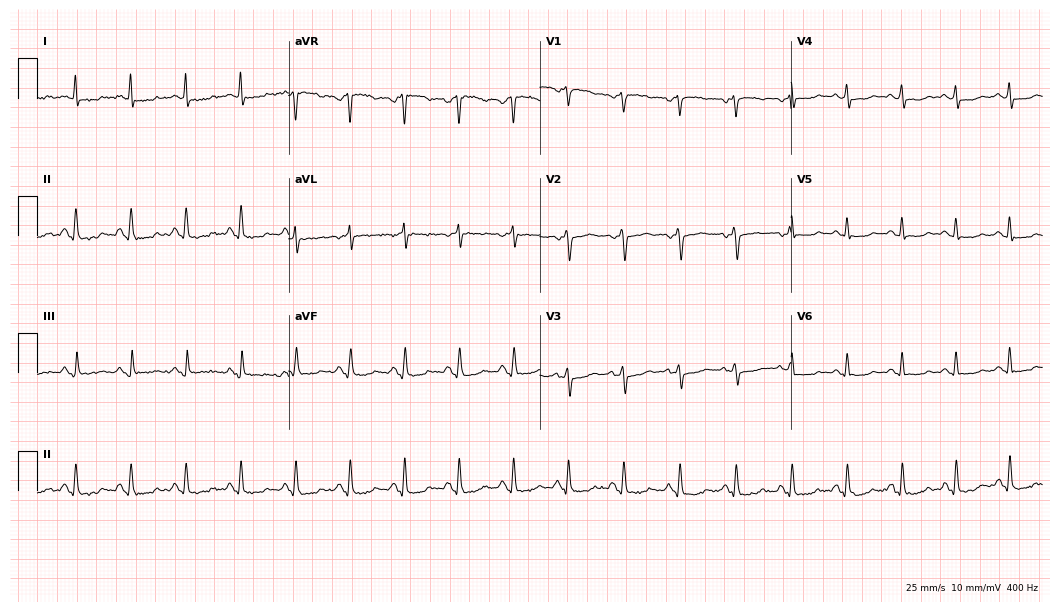
Resting 12-lead electrocardiogram. Patient: a 62-year-old female. None of these six findings is recorded: first-degree AV block, right bundle branch block, left bundle branch block, sinus bradycardia, atrial fibrillation, sinus tachycardia. Other findings, if any, are not listed.